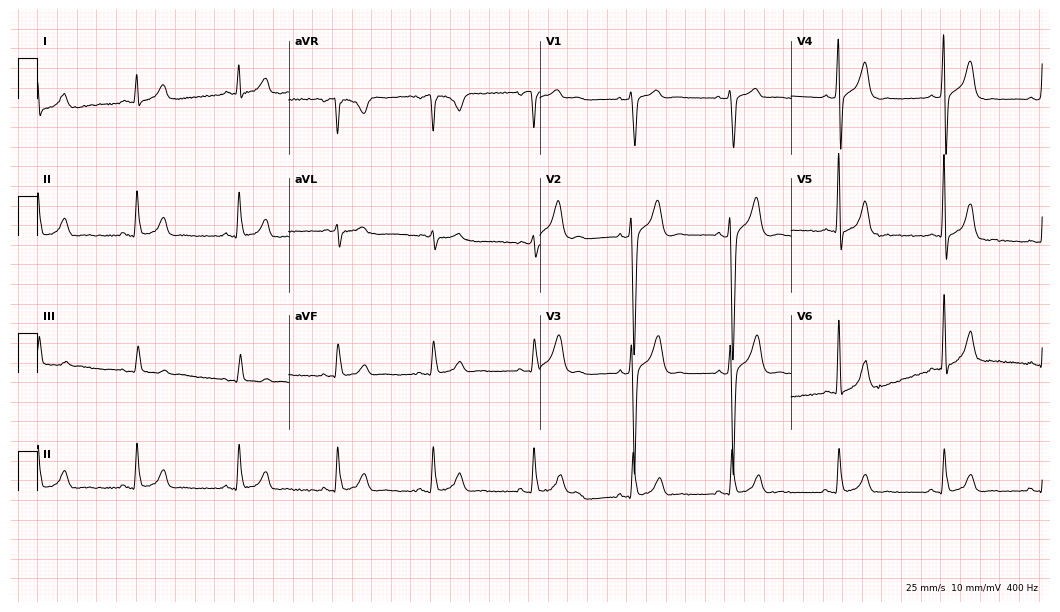
Standard 12-lead ECG recorded from a 35-year-old male patient (10.2-second recording at 400 Hz). Read as a normal ECG.